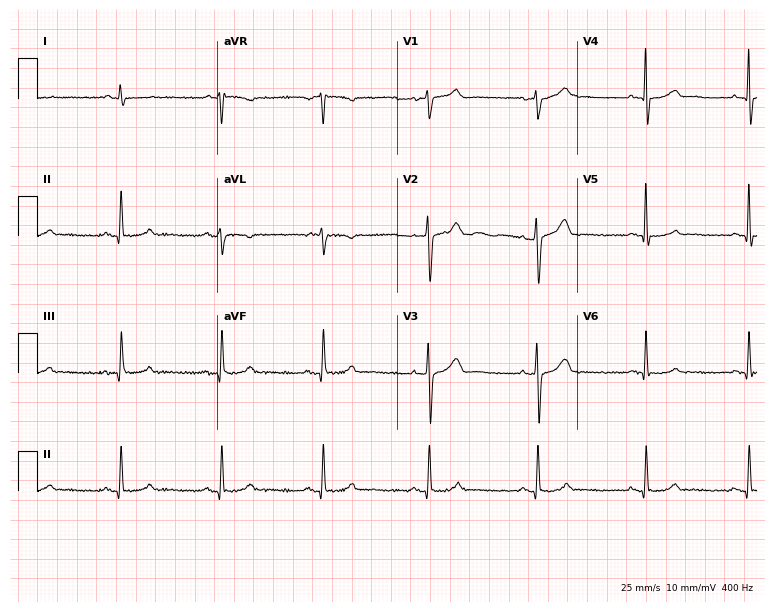
12-lead ECG from a 64-year-old man (7.3-second recording at 400 Hz). Recorded interpretation: within normal limits.